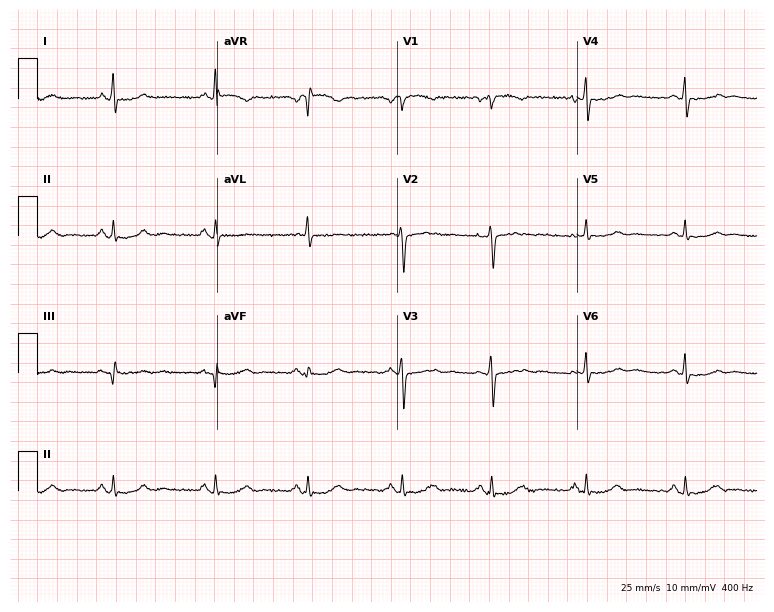
Resting 12-lead electrocardiogram (7.3-second recording at 400 Hz). Patient: a female, 45 years old. None of these six findings is recorded: first-degree AV block, right bundle branch block, left bundle branch block, sinus bradycardia, atrial fibrillation, sinus tachycardia. Only these six findings were labelled.